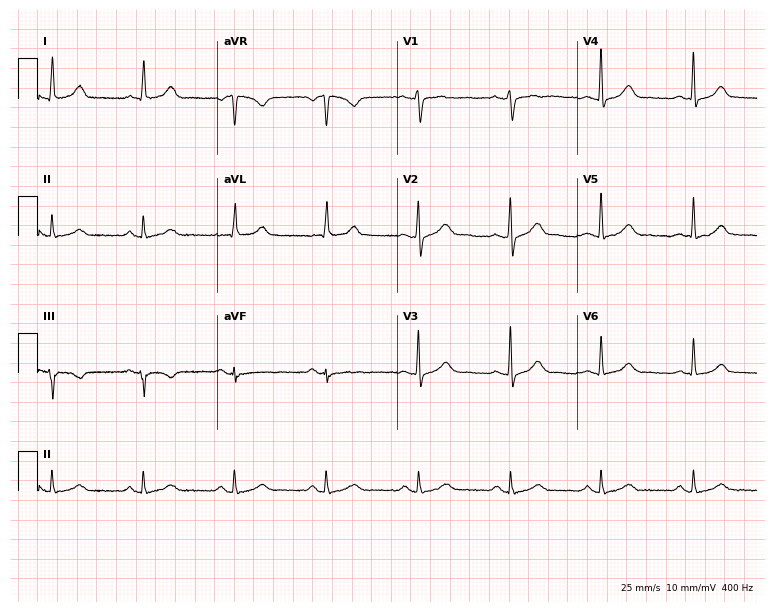
Standard 12-lead ECG recorded from a 46-year-old male. Read as a normal ECG.